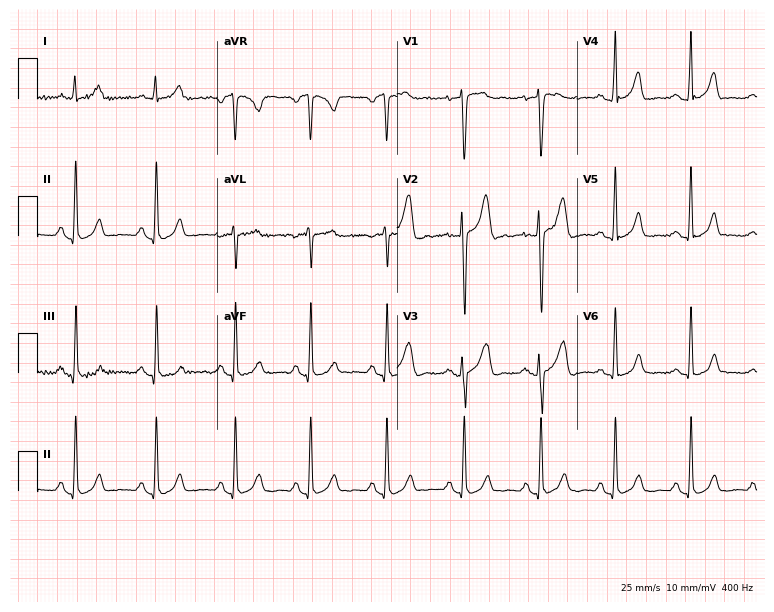
12-lead ECG from a 22-year-old male. Recorded interpretation: within normal limits.